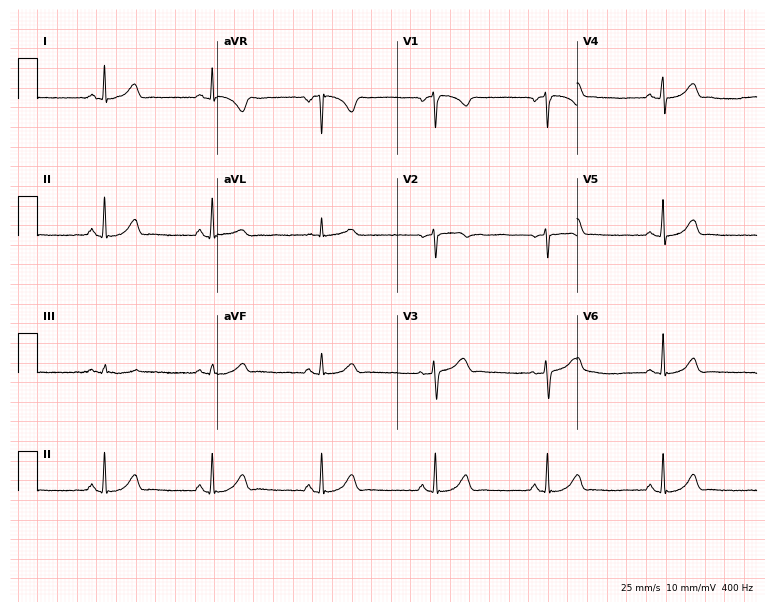
Standard 12-lead ECG recorded from a 35-year-old female patient (7.3-second recording at 400 Hz). Read as a normal ECG.